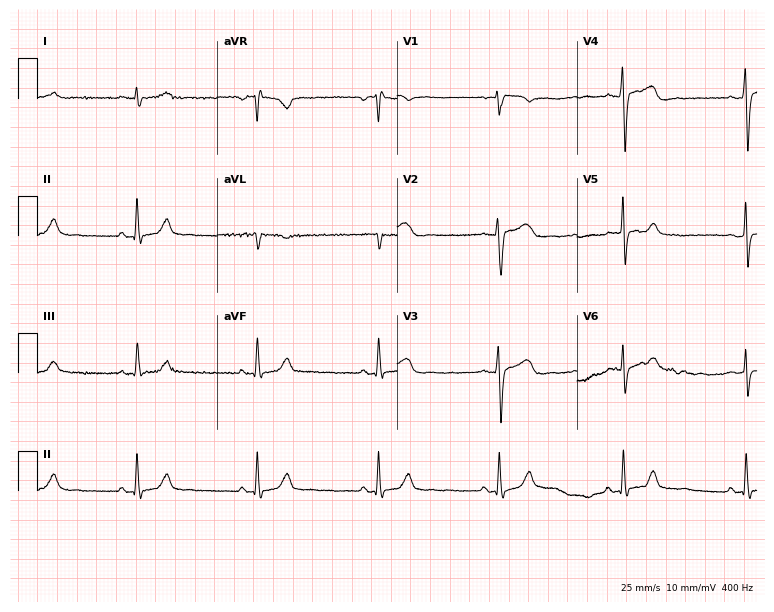
12-lead ECG from a 53-year-old male. Findings include sinus bradycardia (a sinus rate of 50 beats per minute or less).